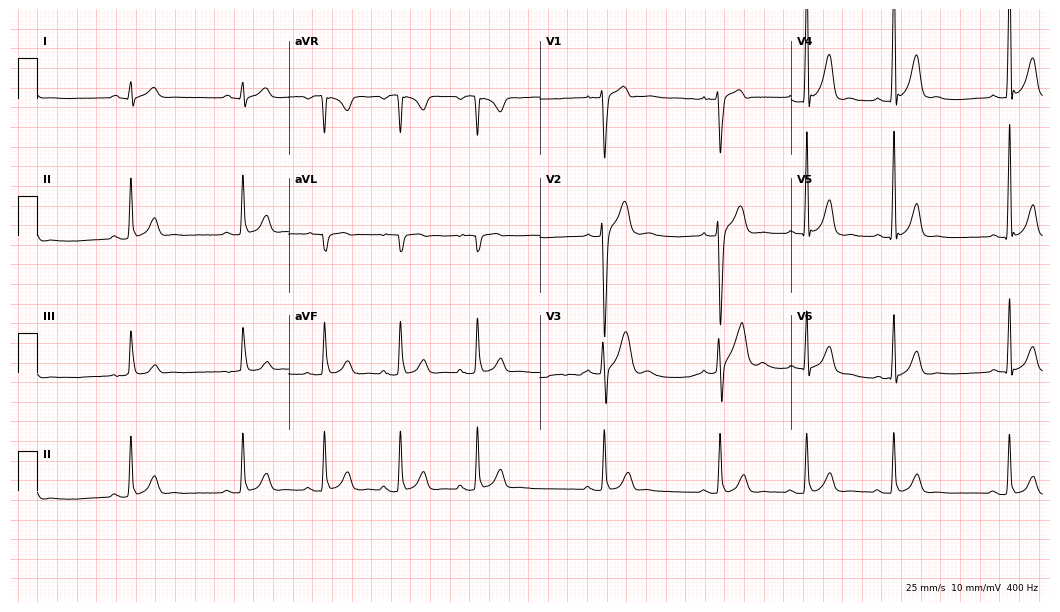
ECG — a man, 19 years old. Labelled as a normal ECG.